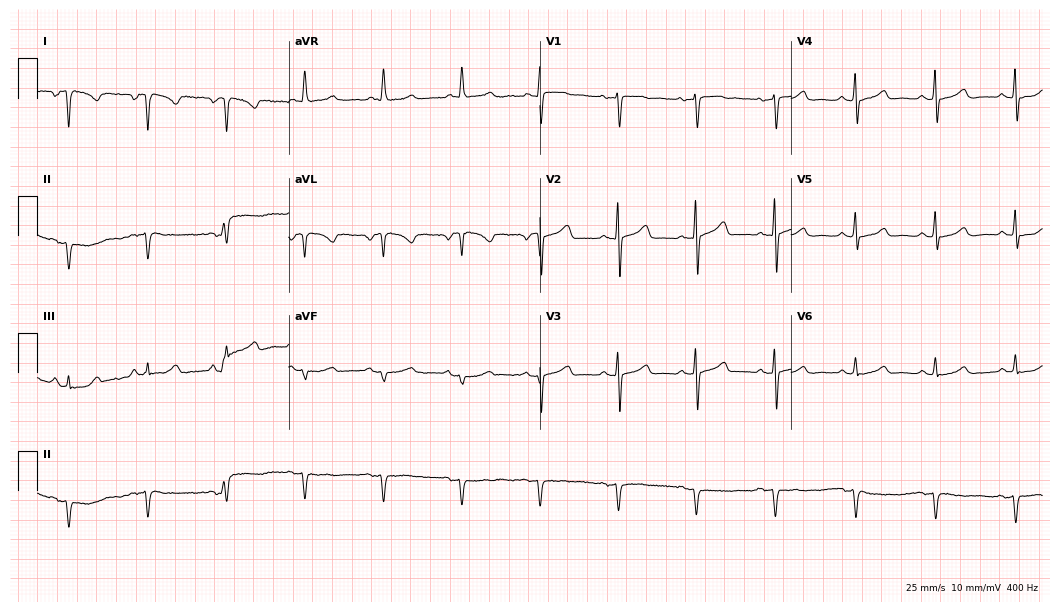
Standard 12-lead ECG recorded from a 49-year-old female (10.2-second recording at 400 Hz). None of these six findings is recorded: first-degree AV block, right bundle branch block (RBBB), left bundle branch block (LBBB), sinus bradycardia, atrial fibrillation (AF), sinus tachycardia.